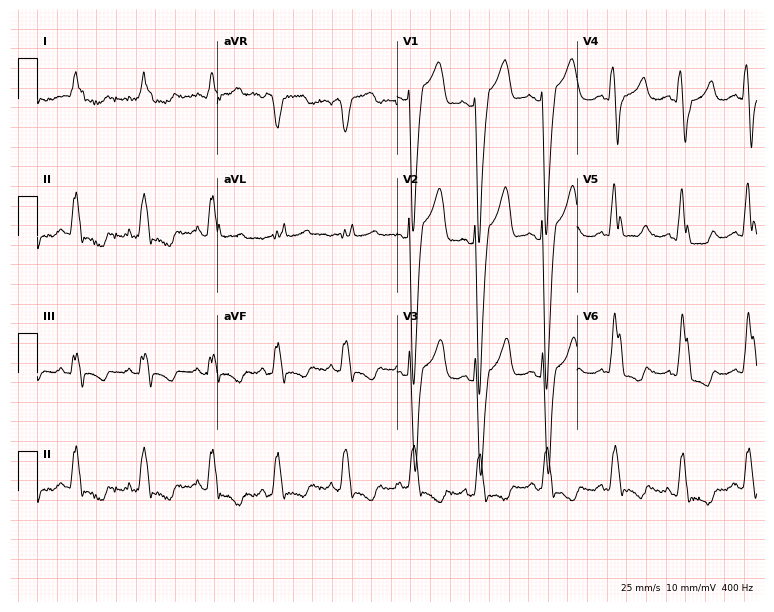
12-lead ECG from a female, 55 years old. Findings include left bundle branch block.